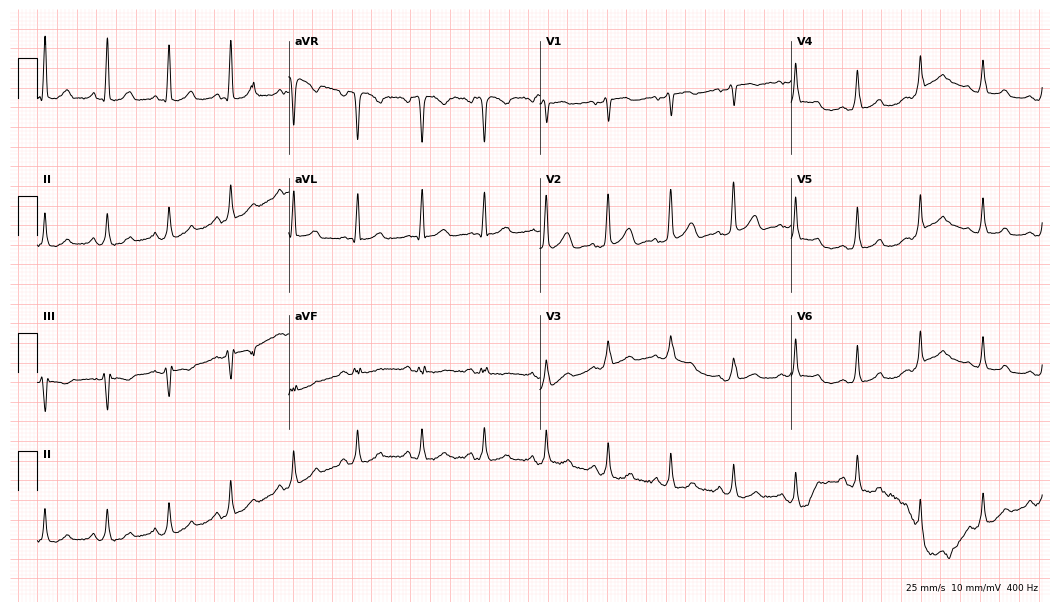
12-lead ECG from a female, 50 years old. Labelled as a normal ECG.